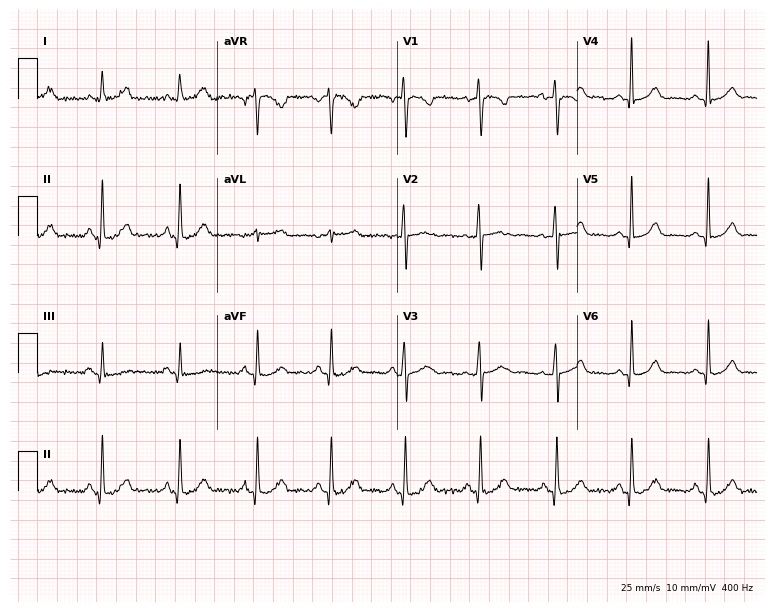
12-lead ECG from a 34-year-old female patient. Recorded interpretation: within normal limits.